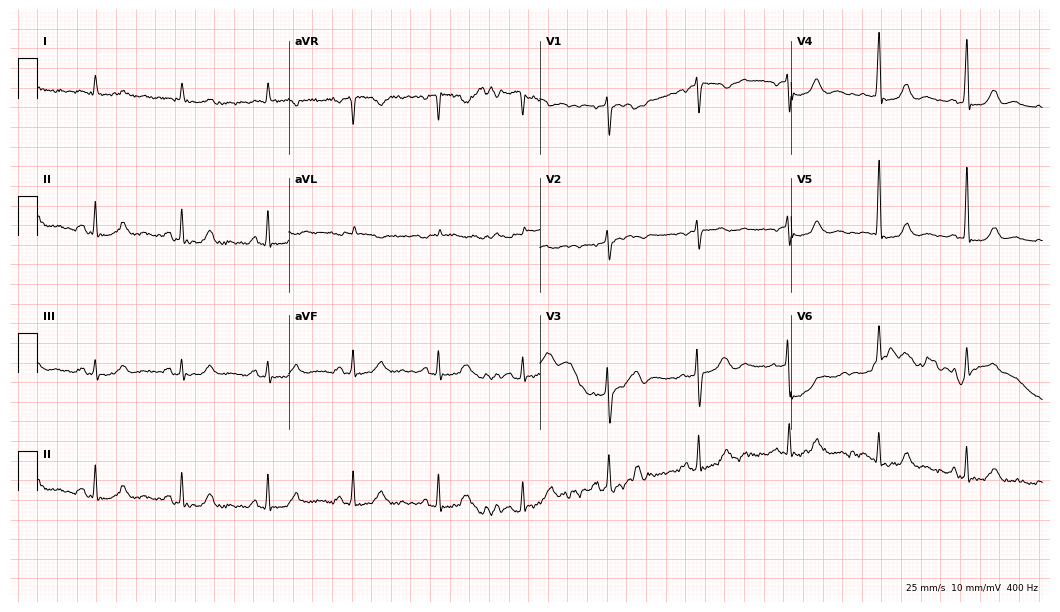
Resting 12-lead electrocardiogram (10.2-second recording at 400 Hz). Patient: a 72-year-old male. None of these six findings is recorded: first-degree AV block, right bundle branch block (RBBB), left bundle branch block (LBBB), sinus bradycardia, atrial fibrillation (AF), sinus tachycardia.